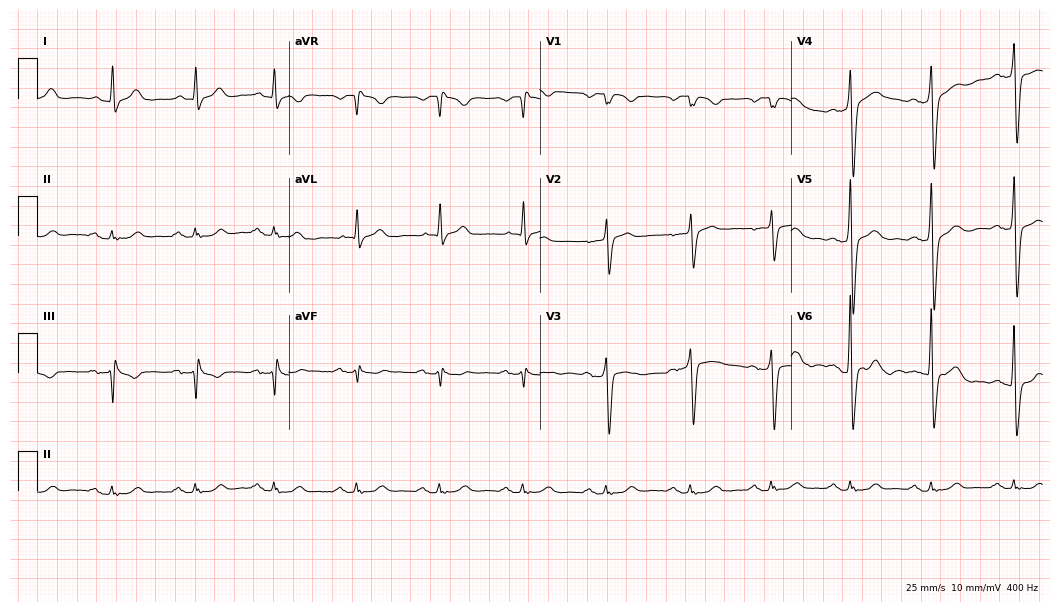
ECG — a 23-year-old man. Screened for six findings — first-degree AV block, right bundle branch block (RBBB), left bundle branch block (LBBB), sinus bradycardia, atrial fibrillation (AF), sinus tachycardia — none is recorded. Findings outside these six are not listed.